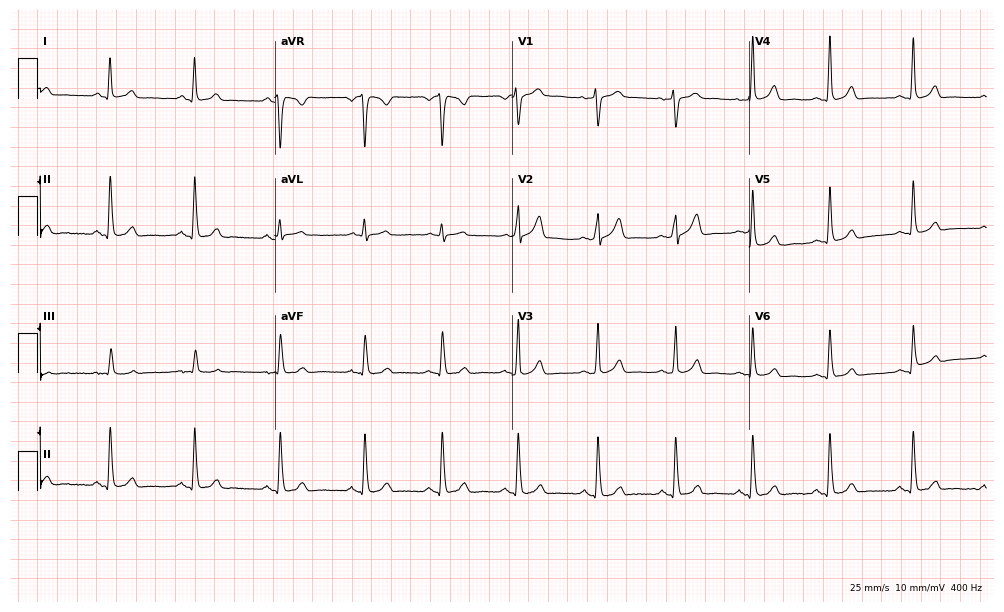
12-lead ECG from a 35-year-old woman (9.7-second recording at 400 Hz). No first-degree AV block, right bundle branch block, left bundle branch block, sinus bradycardia, atrial fibrillation or sinus tachycardia recorded for this tracing. Only these six findings were labelled.